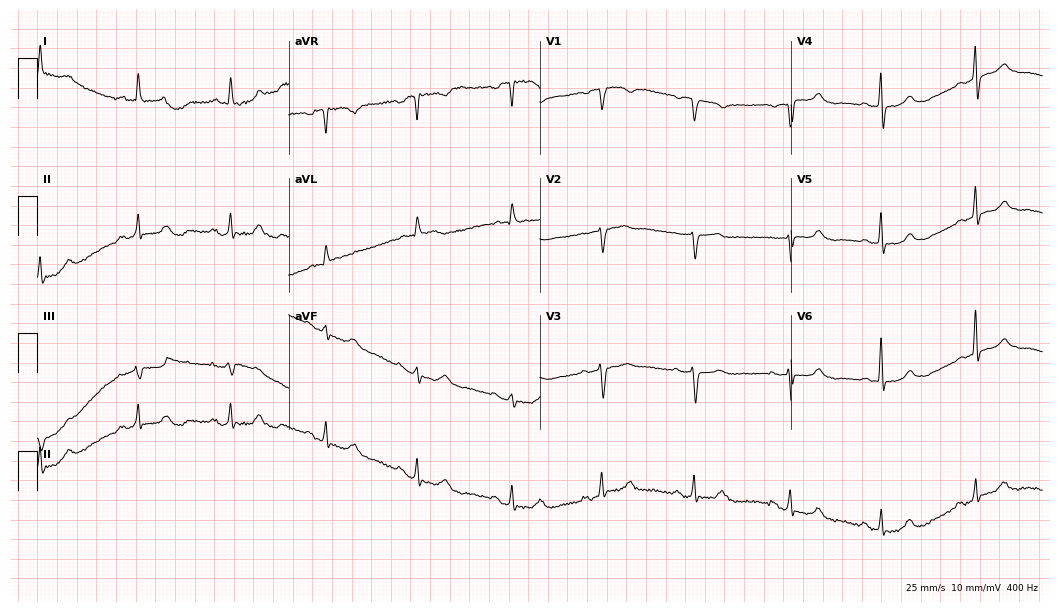
Resting 12-lead electrocardiogram (10.2-second recording at 400 Hz). Patient: a 65-year-old female. Read as a normal ECG.